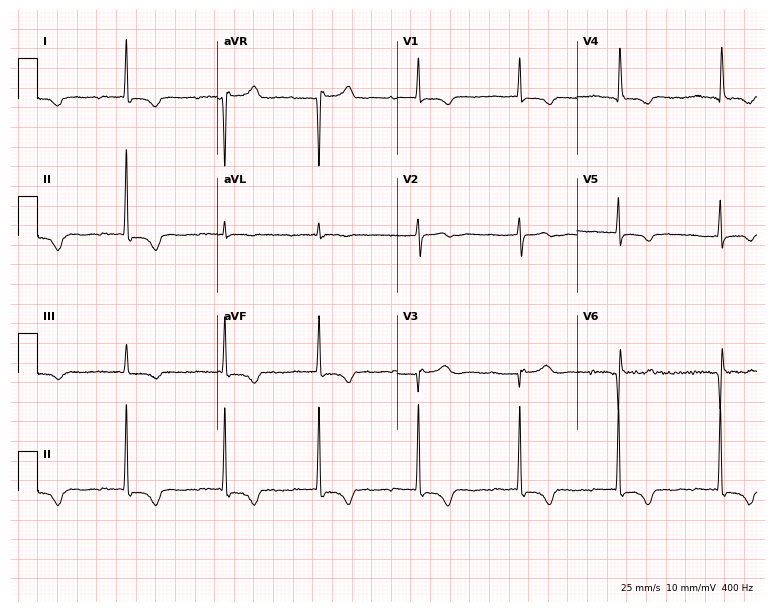
12-lead ECG from a woman, 71 years old. Screened for six findings — first-degree AV block, right bundle branch block, left bundle branch block, sinus bradycardia, atrial fibrillation, sinus tachycardia — none is recorded. Other findings, if any, are not listed.